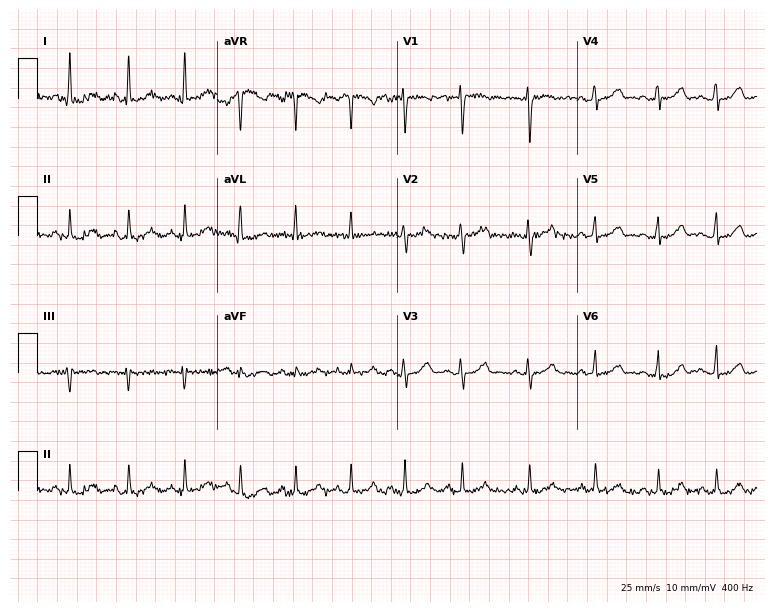
Resting 12-lead electrocardiogram. Patient: a female, 33 years old. Read as a normal ECG.